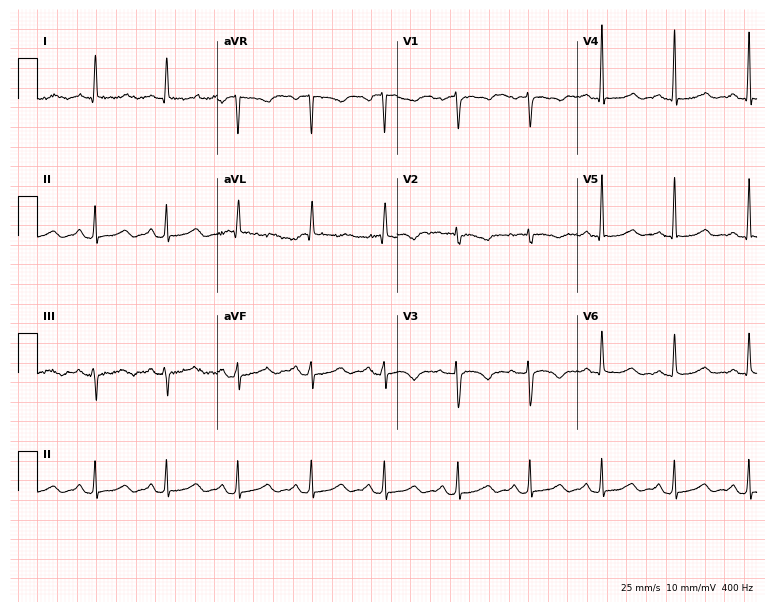
Standard 12-lead ECG recorded from a woman, 65 years old (7.3-second recording at 400 Hz). None of these six findings is recorded: first-degree AV block, right bundle branch block, left bundle branch block, sinus bradycardia, atrial fibrillation, sinus tachycardia. Findings outside these six are not listed.